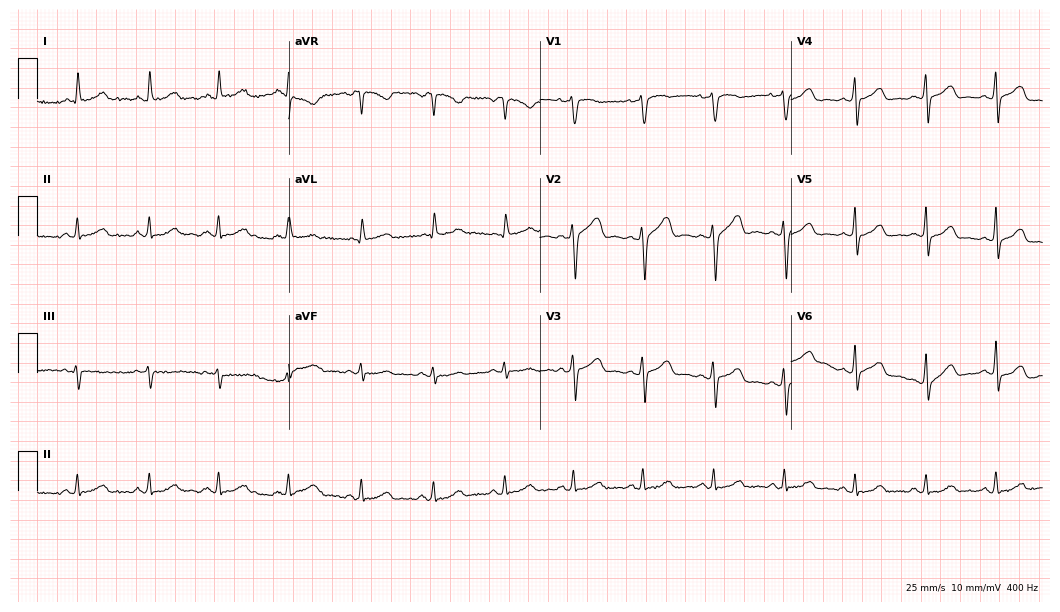
Resting 12-lead electrocardiogram. Patient: a female, 48 years old. None of these six findings is recorded: first-degree AV block, right bundle branch block, left bundle branch block, sinus bradycardia, atrial fibrillation, sinus tachycardia.